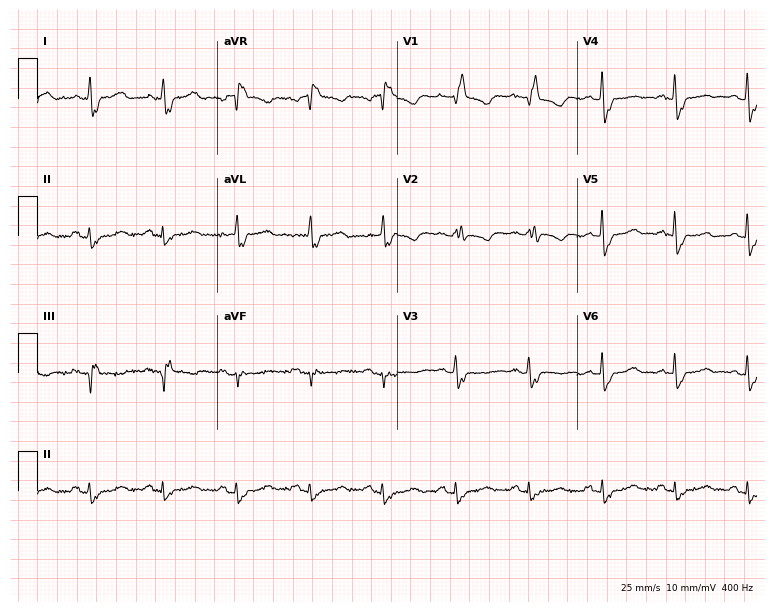
ECG (7.3-second recording at 400 Hz) — a woman, 82 years old. Findings include right bundle branch block.